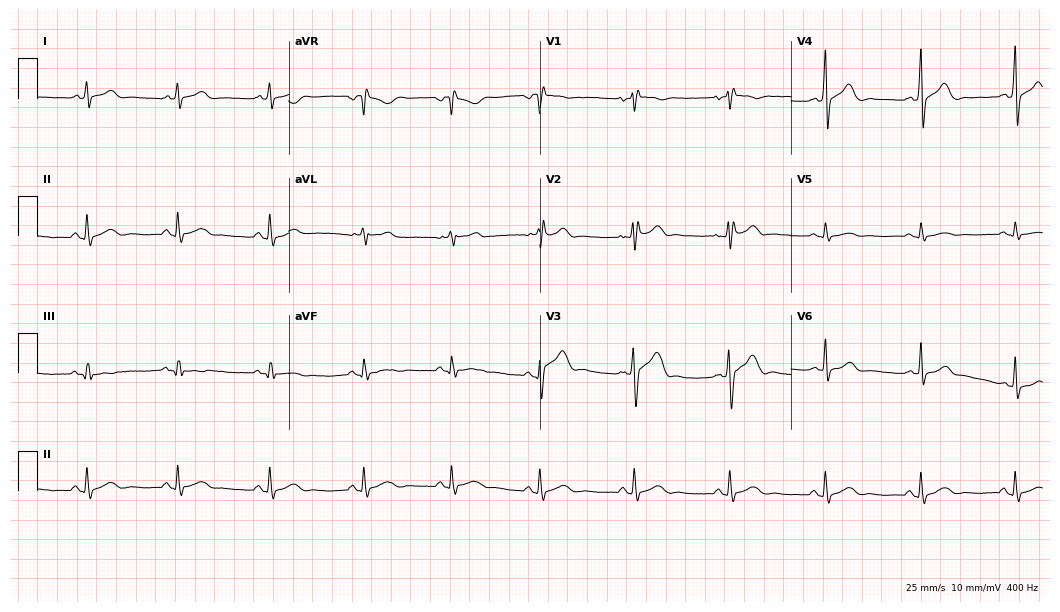
ECG — a male, 32 years old. Screened for six findings — first-degree AV block, right bundle branch block, left bundle branch block, sinus bradycardia, atrial fibrillation, sinus tachycardia — none is recorded. Other findings, if any, are not listed.